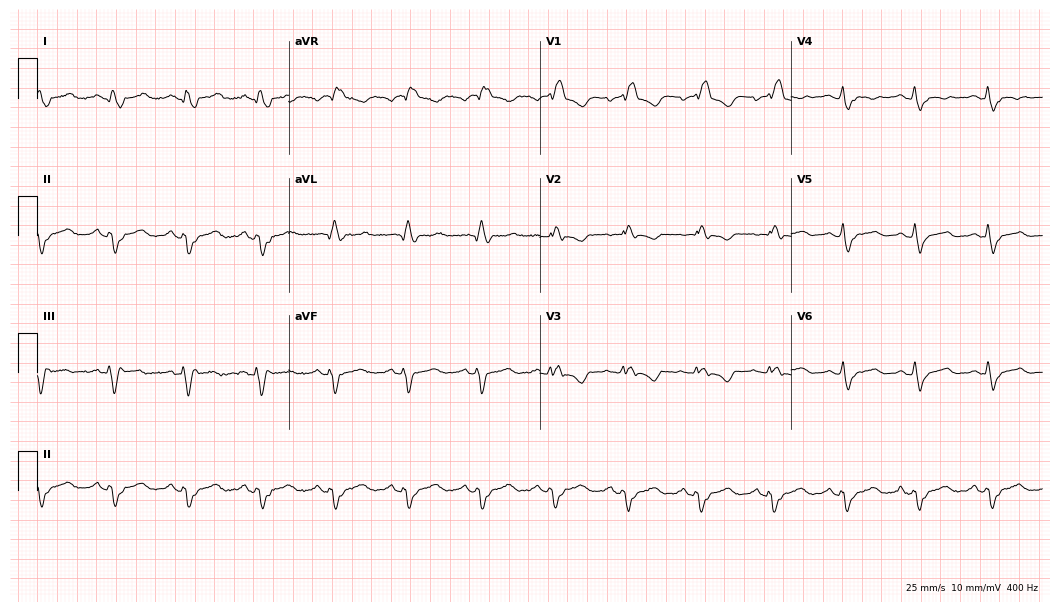
Electrocardiogram, a 69-year-old woman. Interpretation includes right bundle branch block.